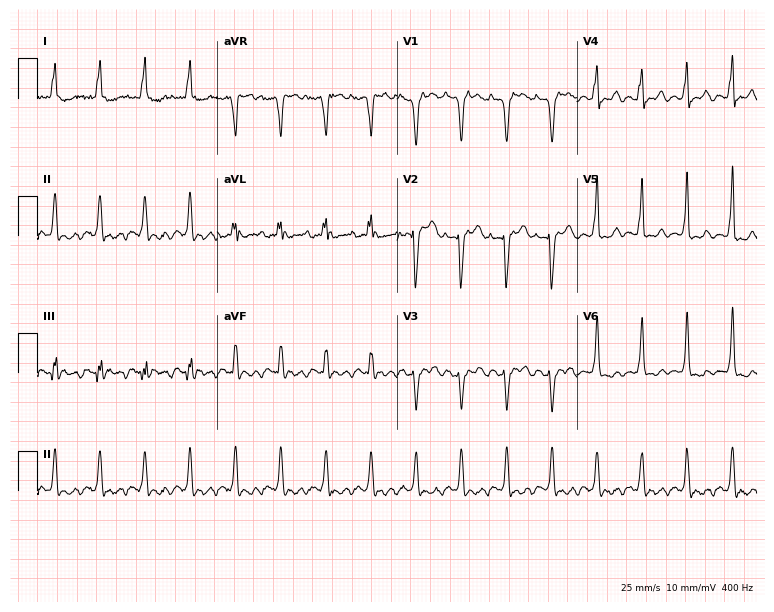
Electrocardiogram (7.3-second recording at 400 Hz), a female patient, 64 years old. Of the six screened findings (first-degree AV block, right bundle branch block, left bundle branch block, sinus bradycardia, atrial fibrillation, sinus tachycardia), none is recorded.